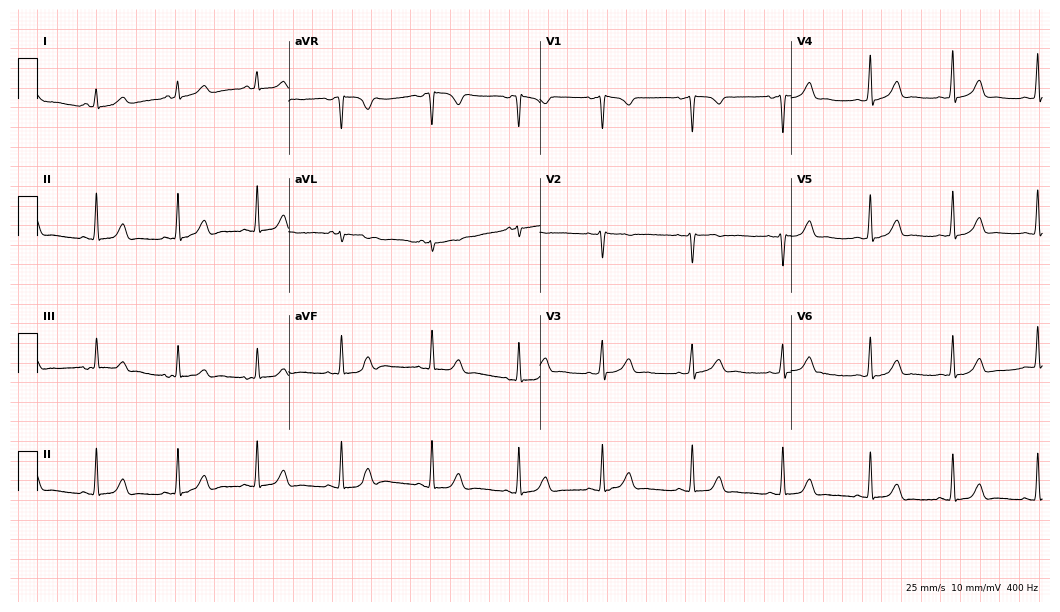
Electrocardiogram (10.2-second recording at 400 Hz), a 26-year-old woman. Overall reading on record: normal ECG.